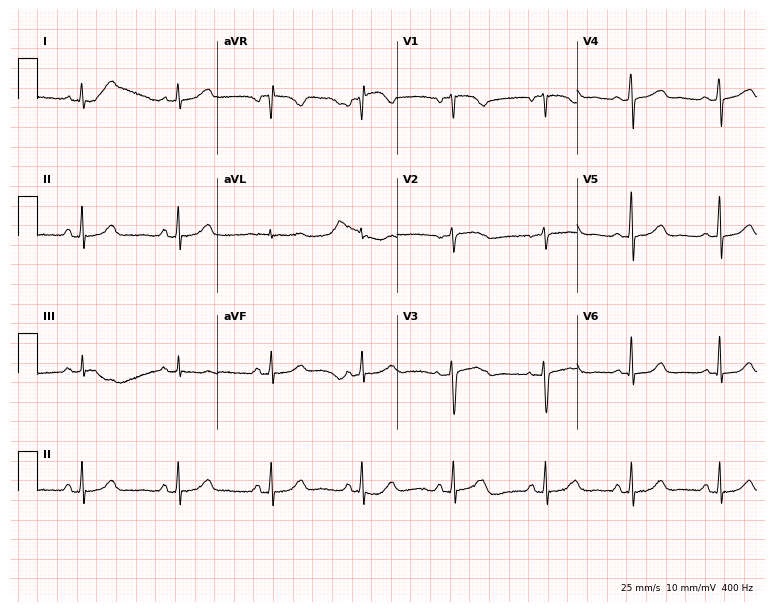
Electrocardiogram (7.3-second recording at 400 Hz), a woman, 39 years old. Overall reading on record: normal ECG.